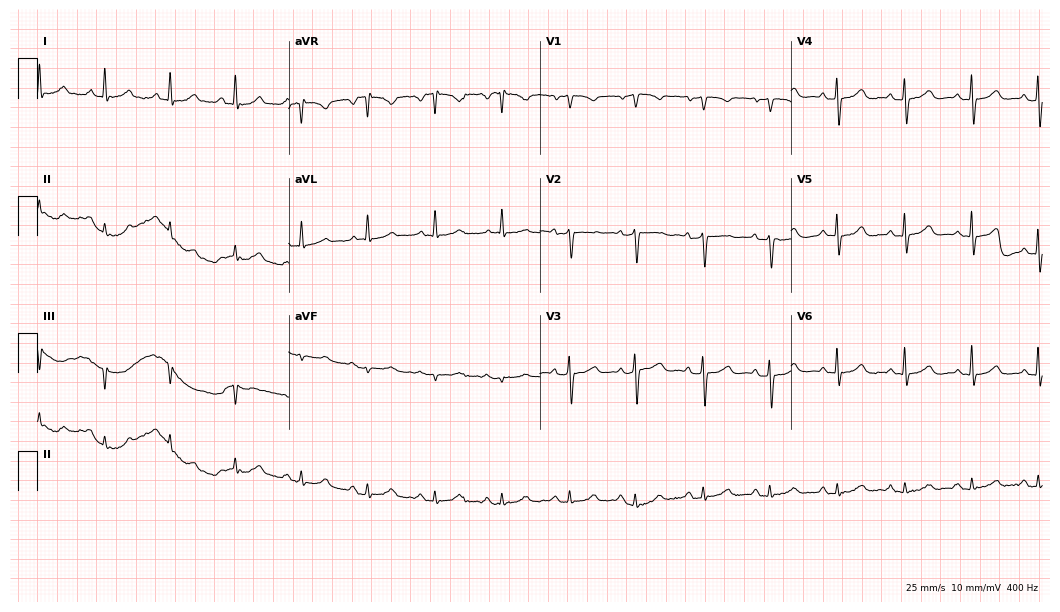
Resting 12-lead electrocardiogram. Patient: an 81-year-old male. Read as a normal ECG.